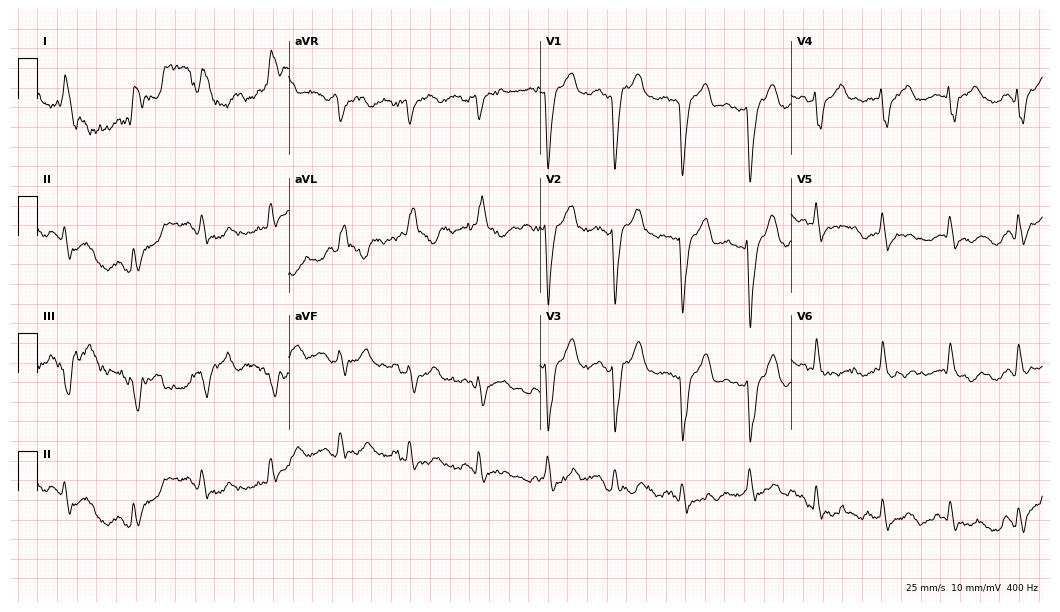
ECG (10.2-second recording at 400 Hz) — a woman, 84 years old. Screened for six findings — first-degree AV block, right bundle branch block, left bundle branch block, sinus bradycardia, atrial fibrillation, sinus tachycardia — none is recorded.